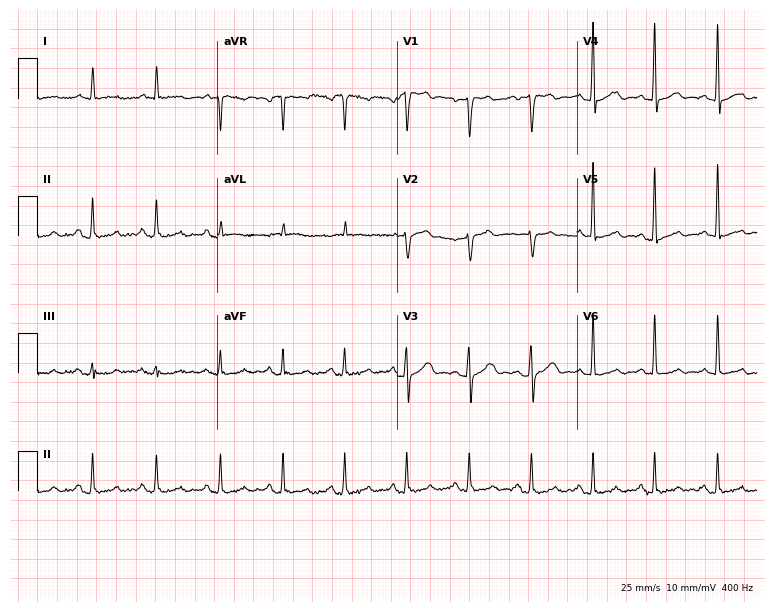
12-lead ECG from a male patient, 65 years old. Screened for six findings — first-degree AV block, right bundle branch block, left bundle branch block, sinus bradycardia, atrial fibrillation, sinus tachycardia — none is recorded.